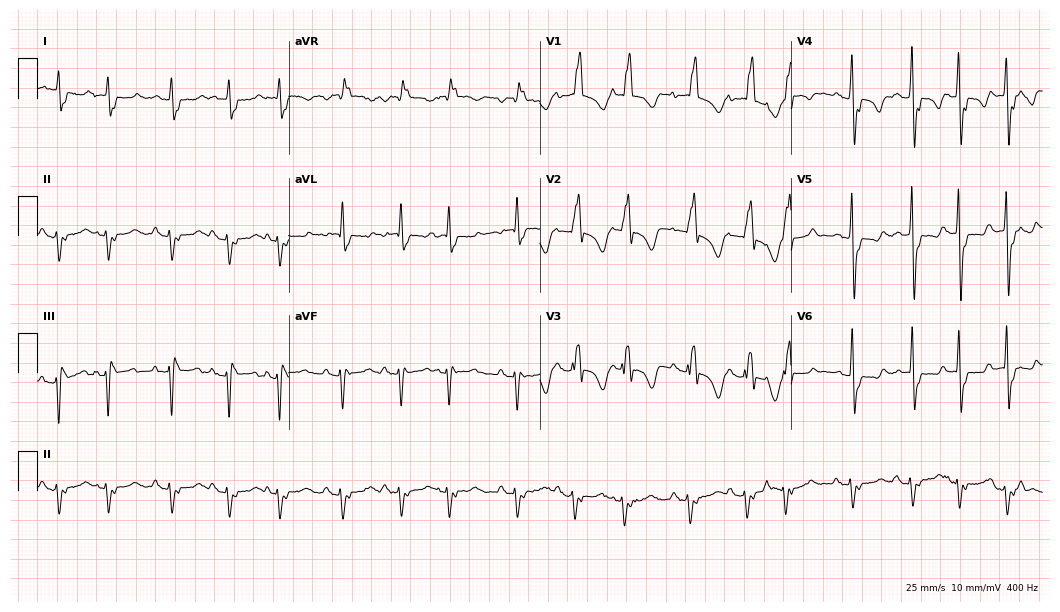
12-lead ECG (10.2-second recording at 400 Hz) from a woman, 60 years old. Screened for six findings — first-degree AV block, right bundle branch block (RBBB), left bundle branch block (LBBB), sinus bradycardia, atrial fibrillation (AF), sinus tachycardia — none is recorded. Other findings, if any, are not listed.